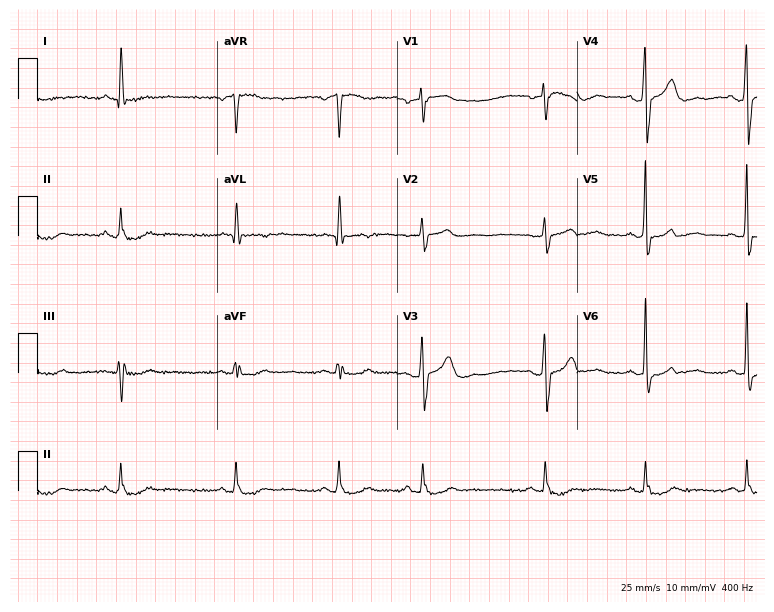
Resting 12-lead electrocardiogram (7.3-second recording at 400 Hz). Patient: a 62-year-old male. The tracing shows sinus bradycardia (a sinus rate of 50 beats per minute or less).